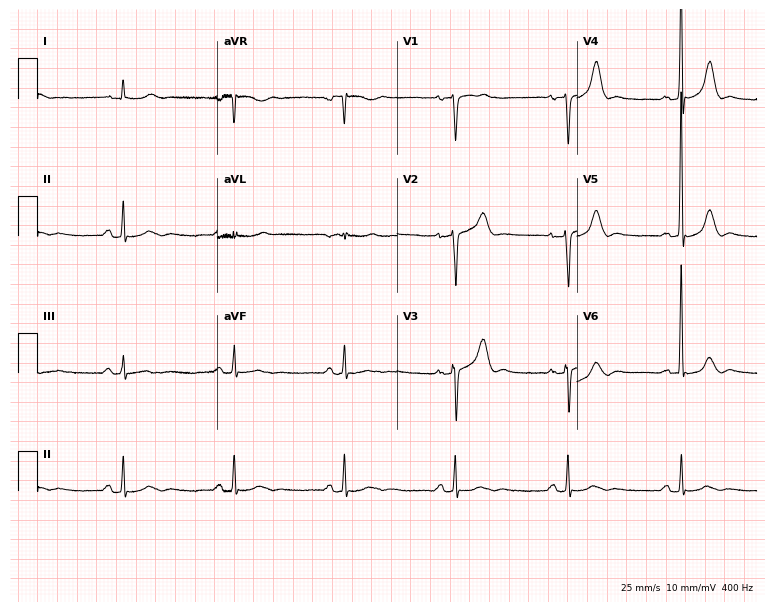
Standard 12-lead ECG recorded from a male, 75 years old (7.3-second recording at 400 Hz). None of these six findings is recorded: first-degree AV block, right bundle branch block (RBBB), left bundle branch block (LBBB), sinus bradycardia, atrial fibrillation (AF), sinus tachycardia. Findings outside these six are not listed.